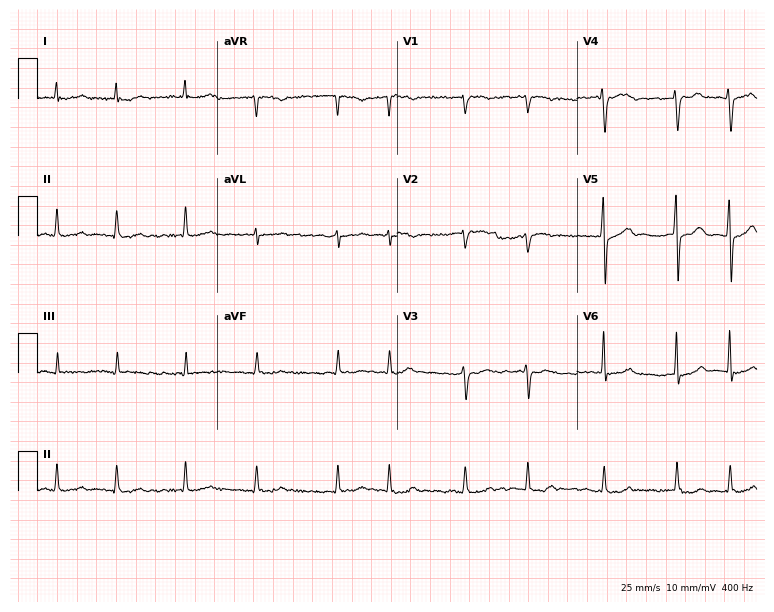
12-lead ECG (7.3-second recording at 400 Hz) from a male, 78 years old. Findings include atrial fibrillation.